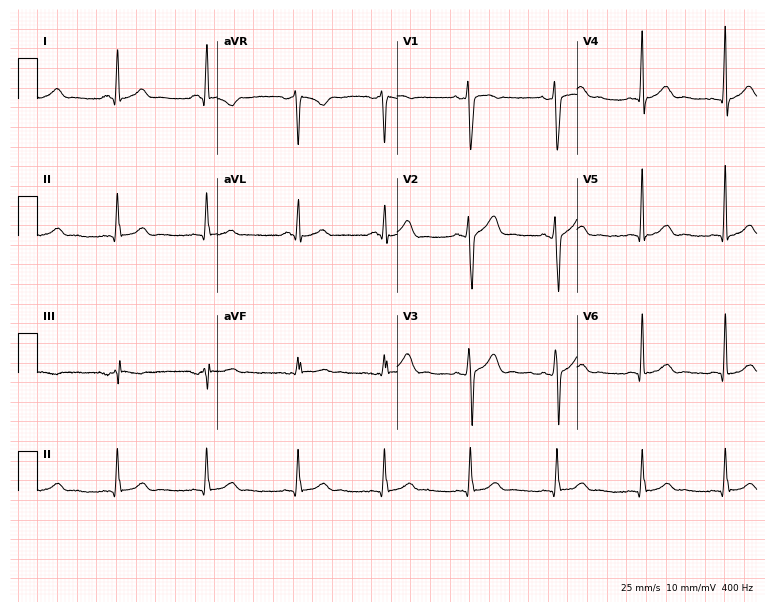
ECG — a 22-year-old male. Labelled as a normal ECG.